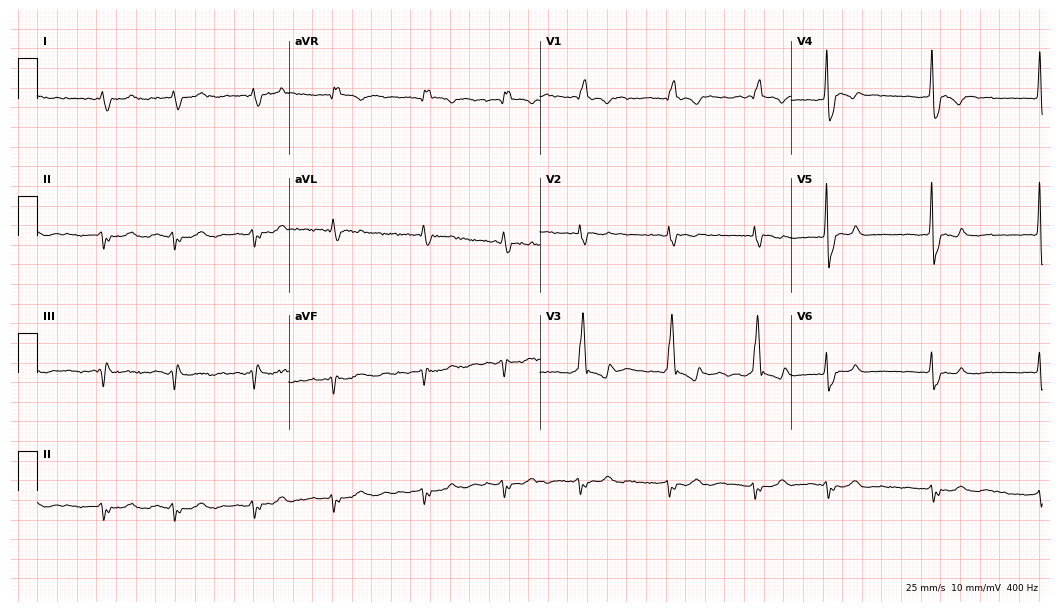
Resting 12-lead electrocardiogram. Patient: an 84-year-old male. None of these six findings is recorded: first-degree AV block, right bundle branch block, left bundle branch block, sinus bradycardia, atrial fibrillation, sinus tachycardia. Other findings, if any, are not listed.